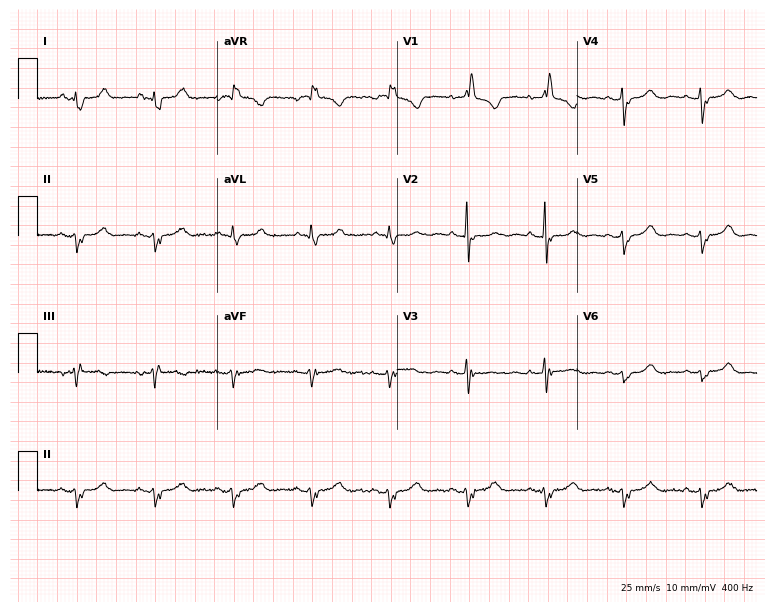
ECG — a 72-year-old female. Screened for six findings — first-degree AV block, right bundle branch block (RBBB), left bundle branch block (LBBB), sinus bradycardia, atrial fibrillation (AF), sinus tachycardia — none is recorded.